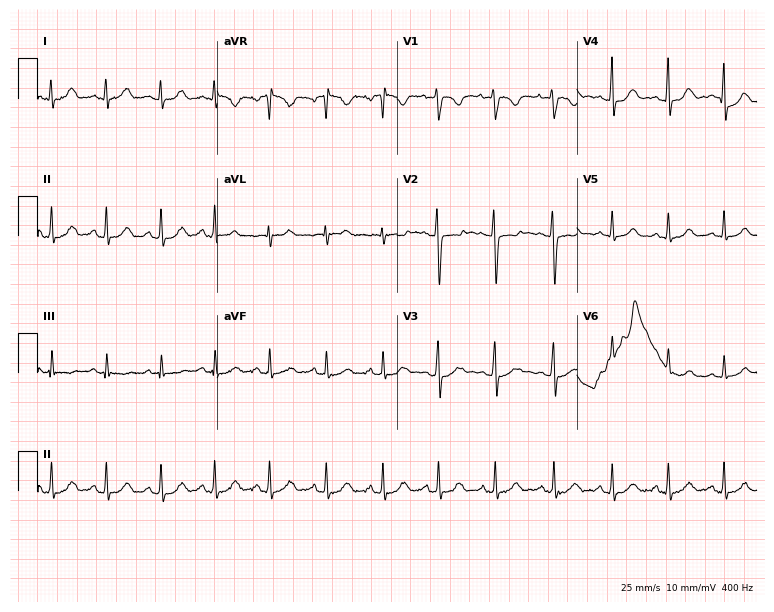
ECG — a female, 17 years old. Screened for six findings — first-degree AV block, right bundle branch block, left bundle branch block, sinus bradycardia, atrial fibrillation, sinus tachycardia — none is recorded.